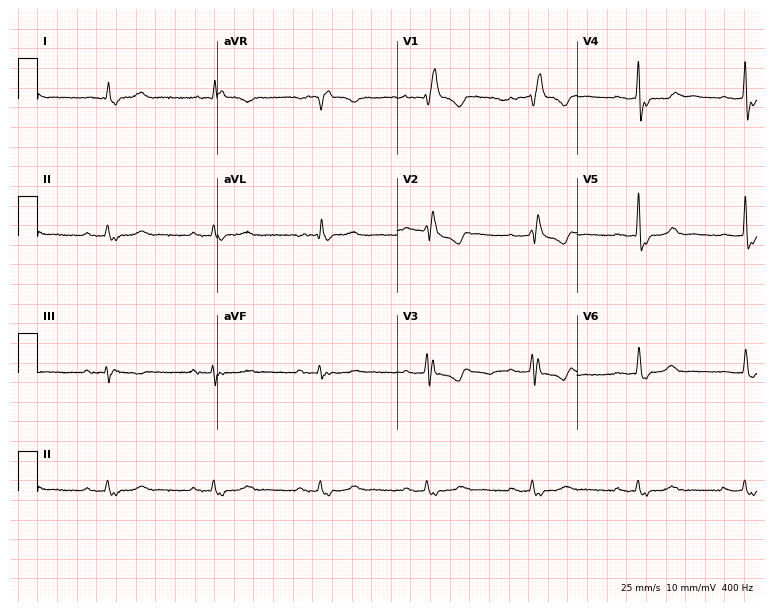
Resting 12-lead electrocardiogram (7.3-second recording at 400 Hz). Patient: a man, 71 years old. The tracing shows first-degree AV block, right bundle branch block.